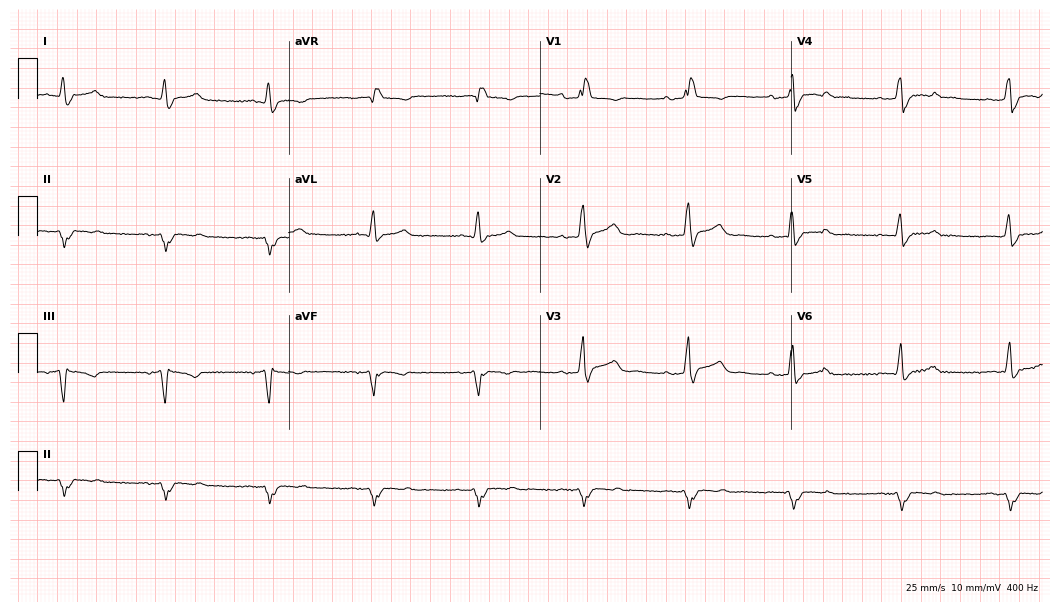
Electrocardiogram, a man, 73 years old. Interpretation includes right bundle branch block (RBBB).